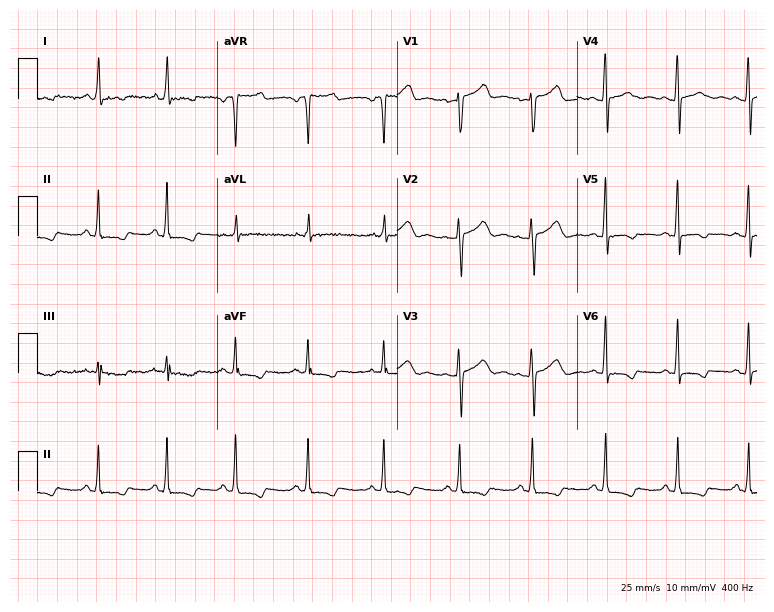
ECG — a 41-year-old female patient. Screened for six findings — first-degree AV block, right bundle branch block (RBBB), left bundle branch block (LBBB), sinus bradycardia, atrial fibrillation (AF), sinus tachycardia — none is recorded.